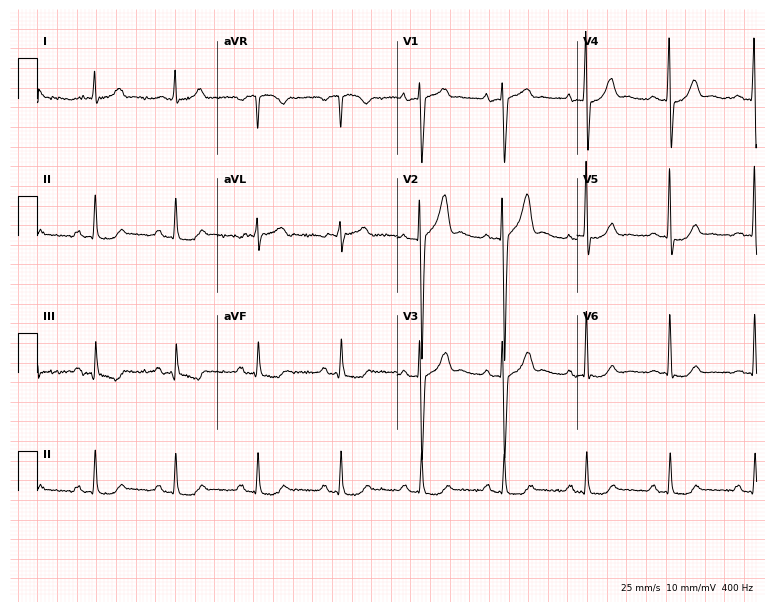
Electrocardiogram (7.3-second recording at 400 Hz), a male, 78 years old. Of the six screened findings (first-degree AV block, right bundle branch block, left bundle branch block, sinus bradycardia, atrial fibrillation, sinus tachycardia), none is recorded.